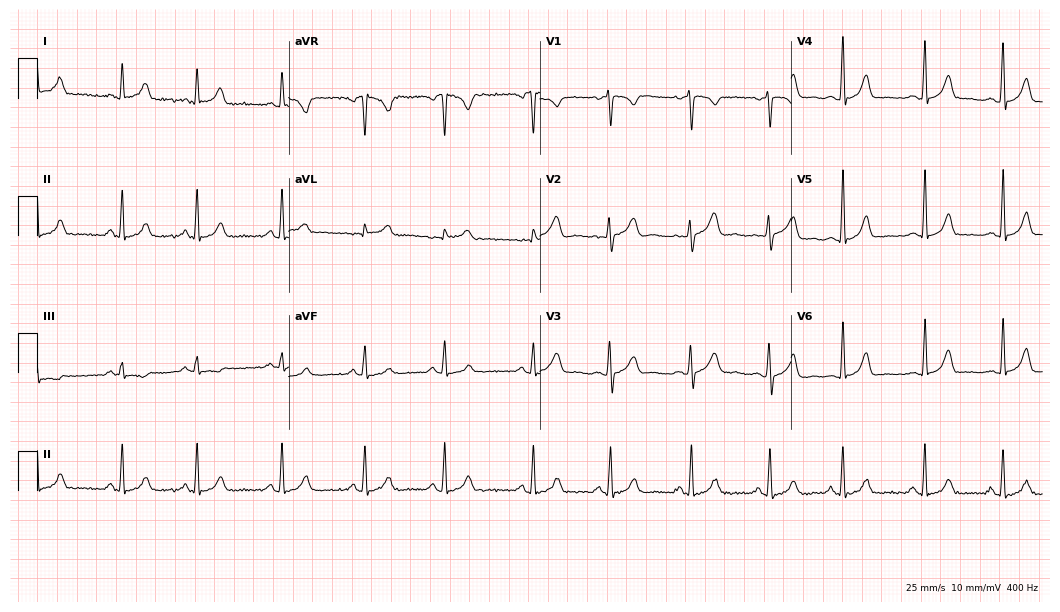
12-lead ECG from a 31-year-old female. Recorded interpretation: within normal limits.